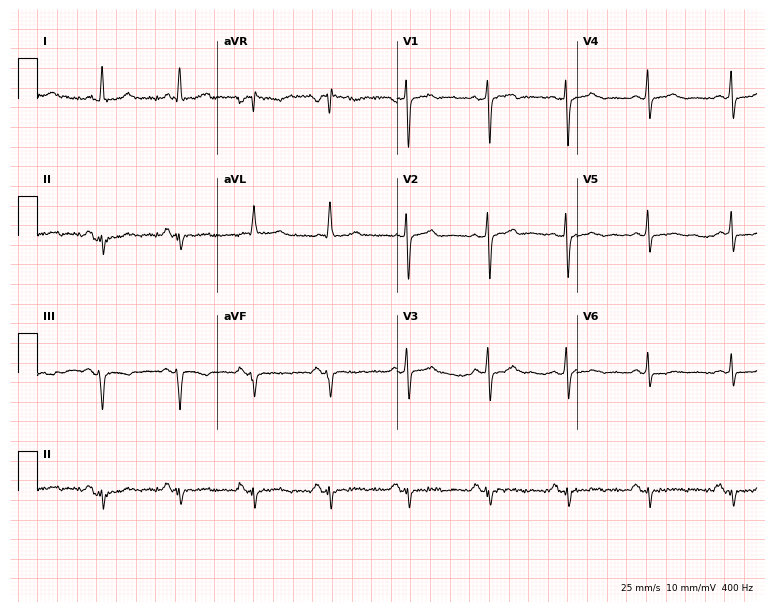
Standard 12-lead ECG recorded from a female patient, 62 years old (7.3-second recording at 400 Hz). None of these six findings is recorded: first-degree AV block, right bundle branch block (RBBB), left bundle branch block (LBBB), sinus bradycardia, atrial fibrillation (AF), sinus tachycardia. Other findings, if any, are not listed.